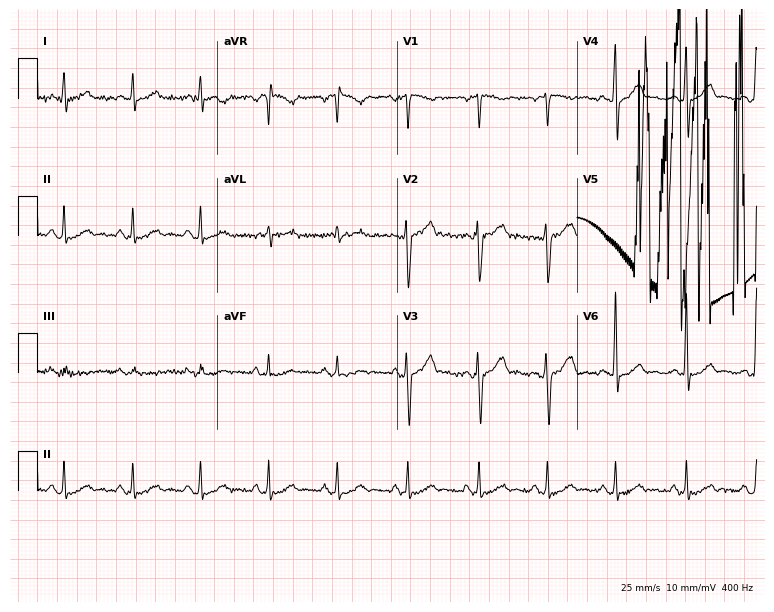
Standard 12-lead ECG recorded from a man, 46 years old. None of these six findings is recorded: first-degree AV block, right bundle branch block (RBBB), left bundle branch block (LBBB), sinus bradycardia, atrial fibrillation (AF), sinus tachycardia. Findings outside these six are not listed.